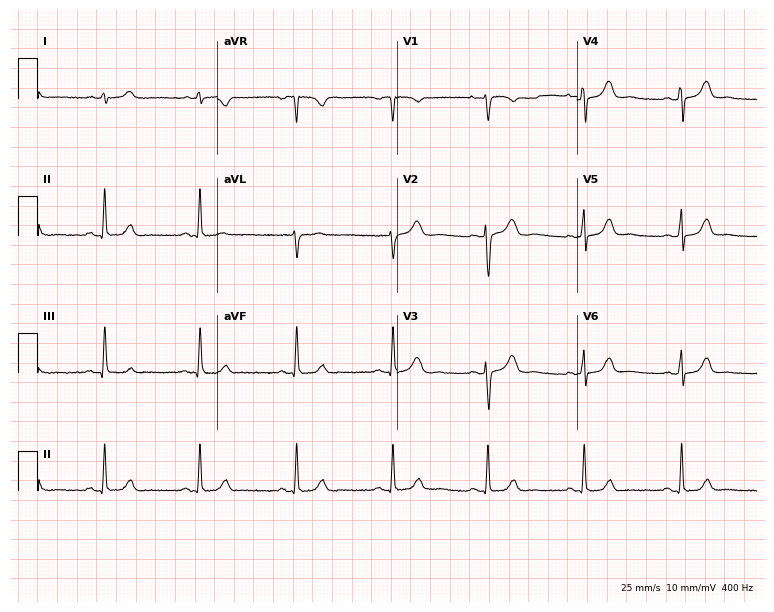
Resting 12-lead electrocardiogram (7.3-second recording at 400 Hz). Patient: a 43-year-old female. Read as a normal ECG.